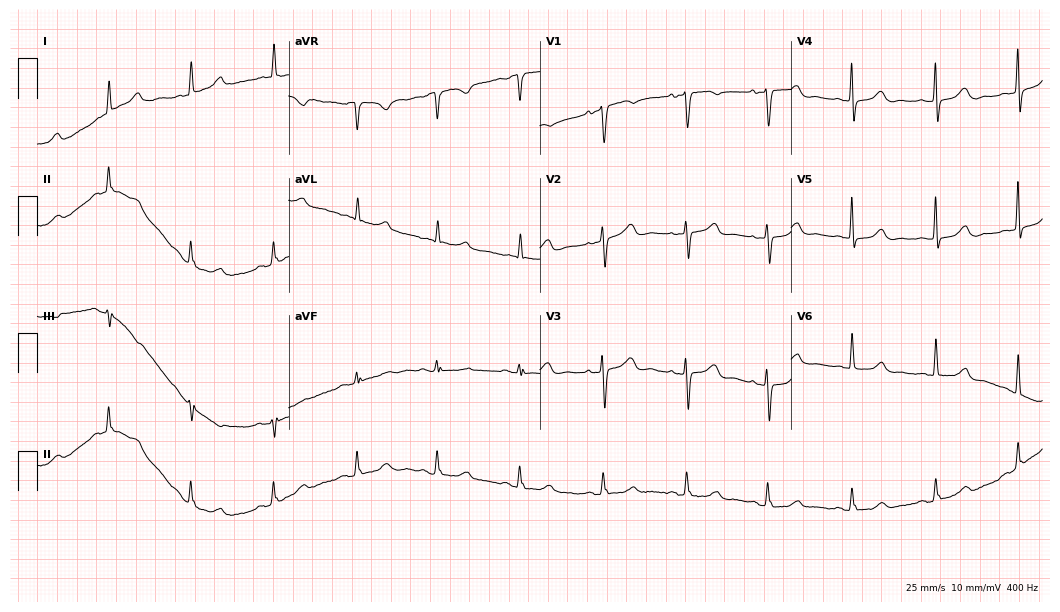
ECG (10.2-second recording at 400 Hz) — an 82-year-old female. Labelled as a normal ECG.